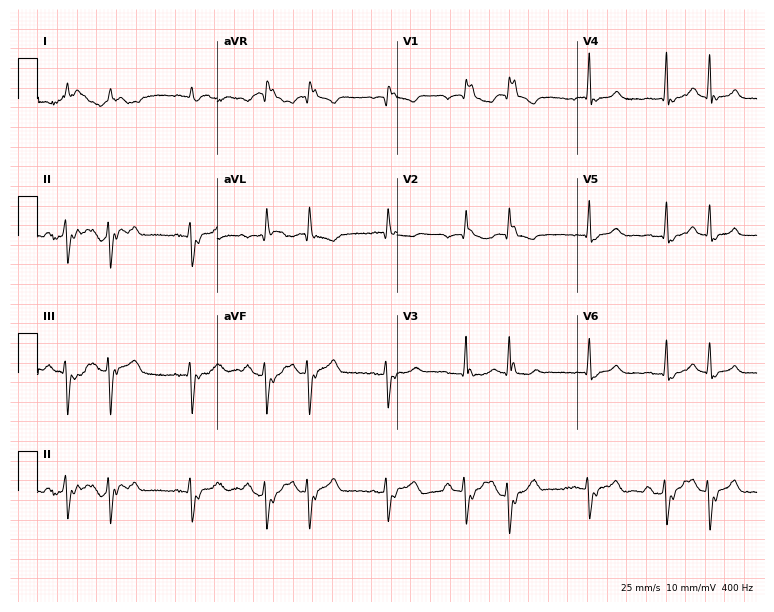
12-lead ECG from an 82-year-old male. Shows right bundle branch block.